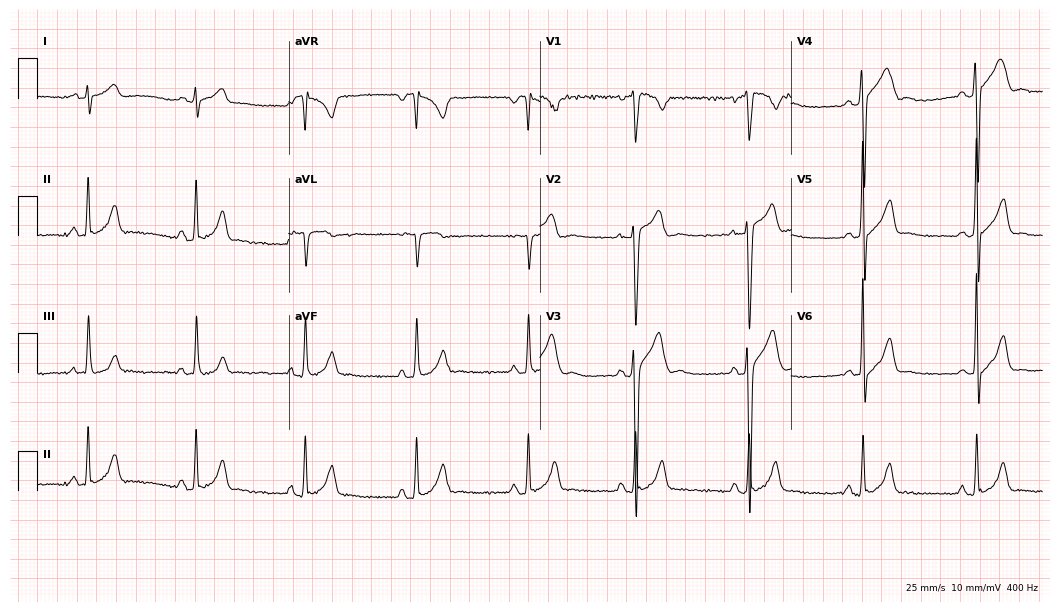
12-lead ECG (10.2-second recording at 400 Hz) from a male, 18 years old. Labelled as a normal ECG.